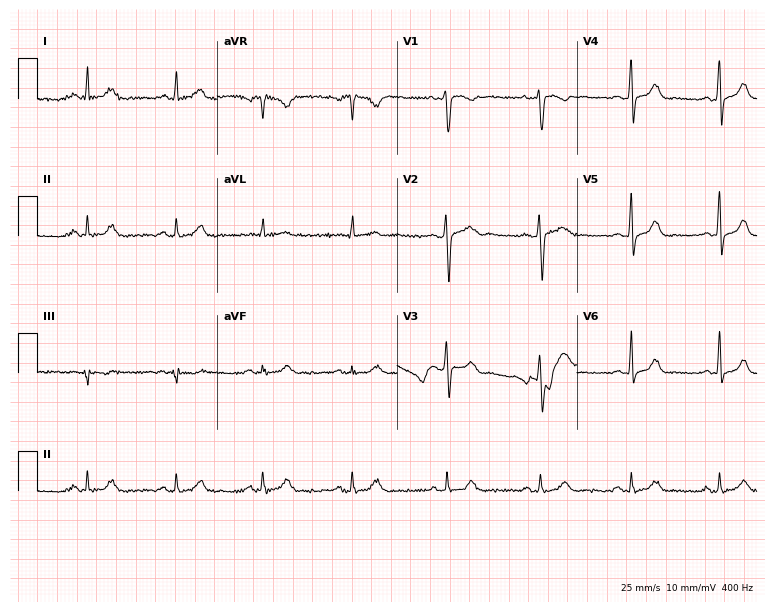
Standard 12-lead ECG recorded from a 31-year-old female patient. None of these six findings is recorded: first-degree AV block, right bundle branch block, left bundle branch block, sinus bradycardia, atrial fibrillation, sinus tachycardia.